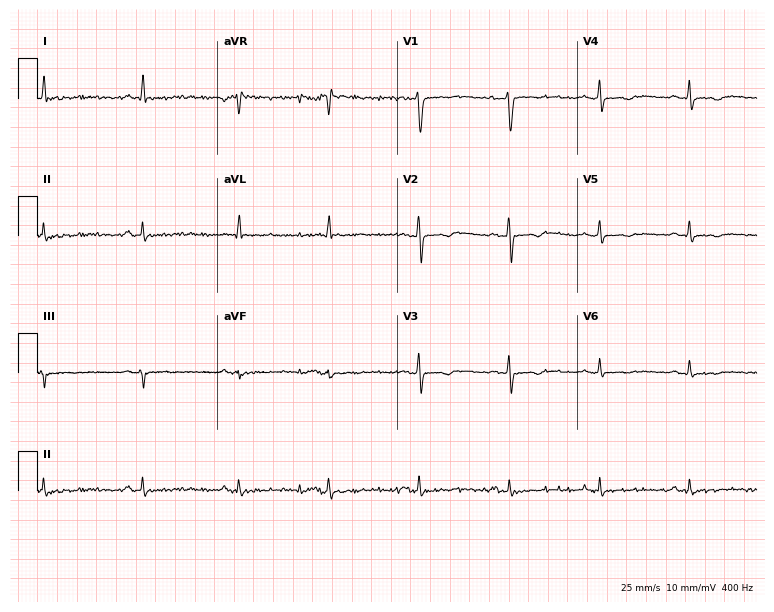
Resting 12-lead electrocardiogram (7.3-second recording at 400 Hz). Patient: a male, 48 years old. None of these six findings is recorded: first-degree AV block, right bundle branch block, left bundle branch block, sinus bradycardia, atrial fibrillation, sinus tachycardia. Findings outside these six are not listed.